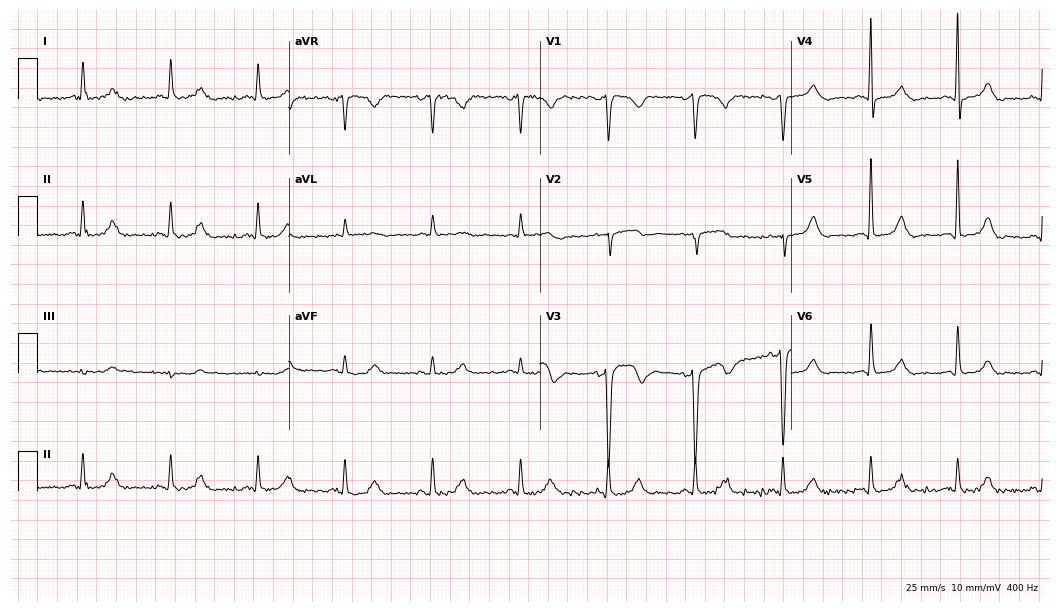
Electrocardiogram, a 53-year-old male. Overall reading on record: normal ECG.